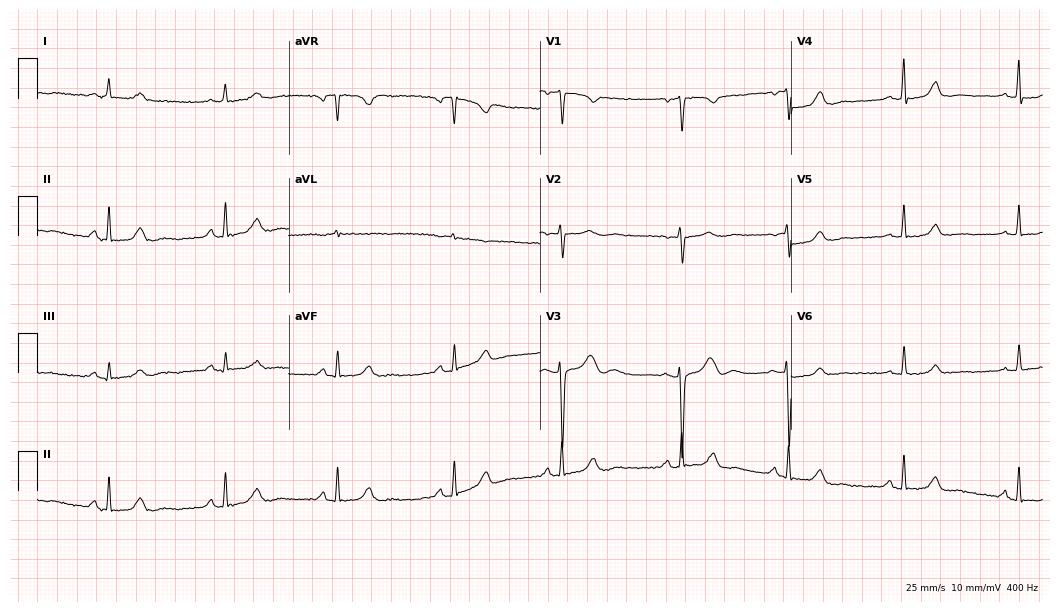
Electrocardiogram (10.2-second recording at 400 Hz), a female patient, 19 years old. Overall reading on record: normal ECG.